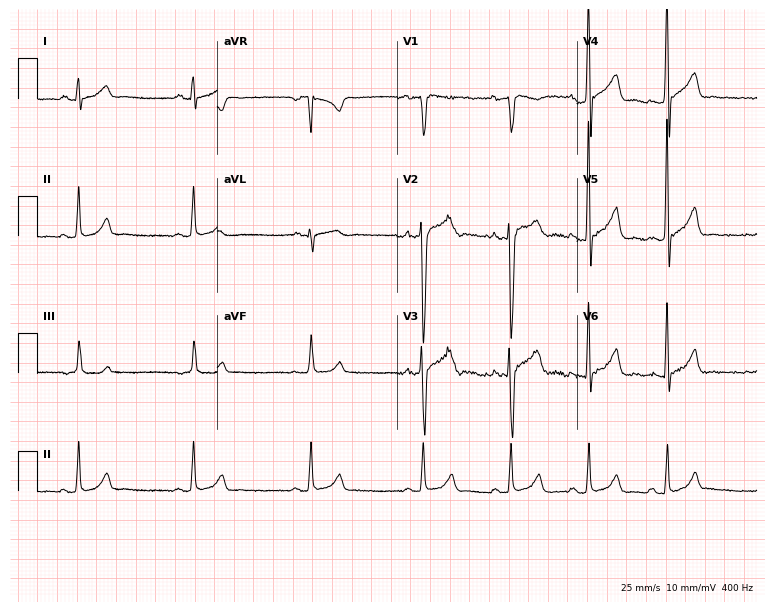
Resting 12-lead electrocardiogram. Patient: a male, 27 years old. Read as a normal ECG.